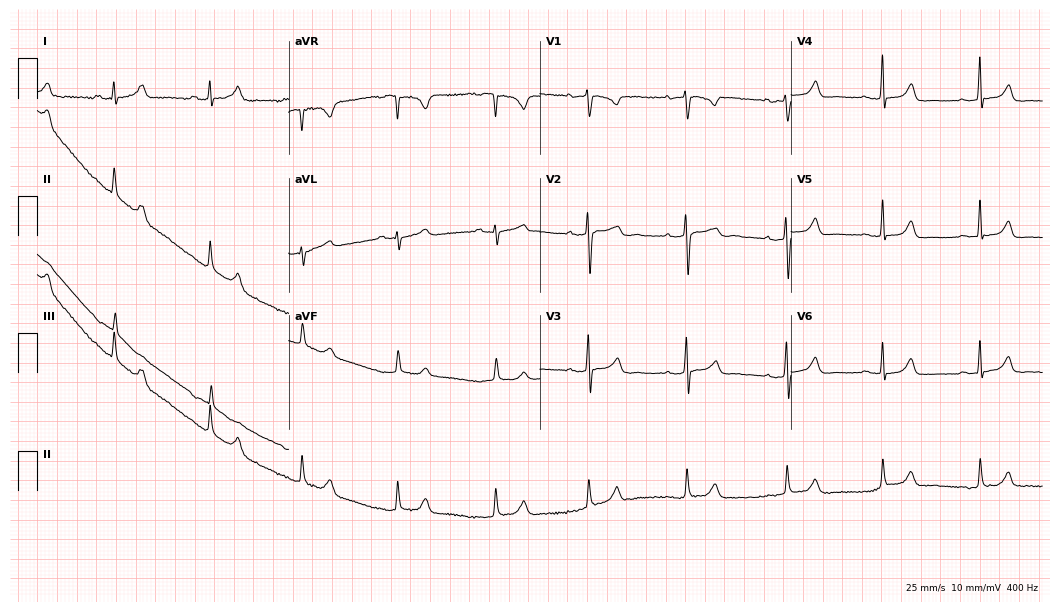
Electrocardiogram, a 34-year-old female. Overall reading on record: normal ECG.